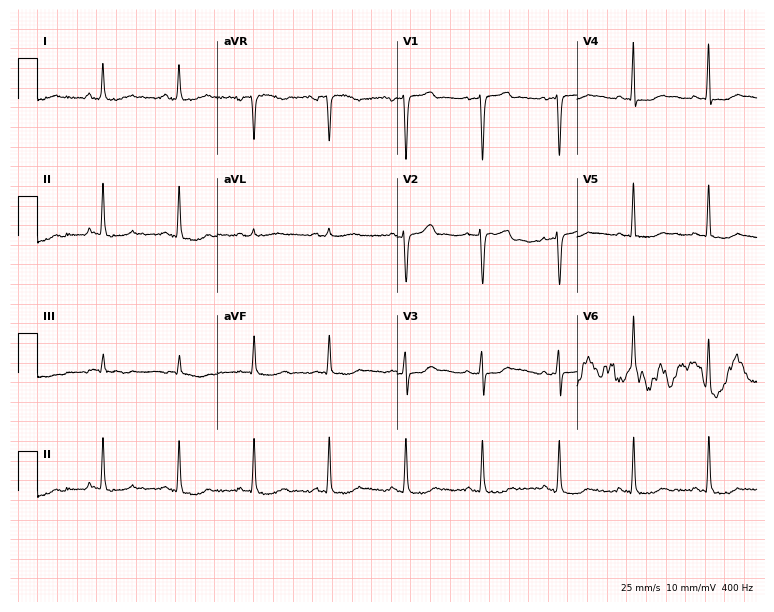
12-lead ECG from a 55-year-old female patient (7.3-second recording at 400 Hz). No first-degree AV block, right bundle branch block (RBBB), left bundle branch block (LBBB), sinus bradycardia, atrial fibrillation (AF) or sinus tachycardia recorded for this tracing. Only these six findings were labelled.